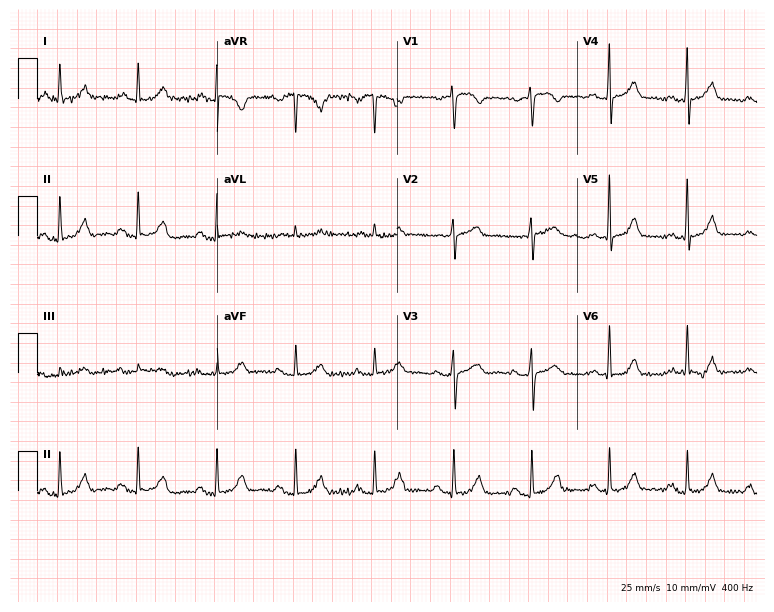
Resting 12-lead electrocardiogram (7.3-second recording at 400 Hz). Patient: a 62-year-old female. Read as a normal ECG.